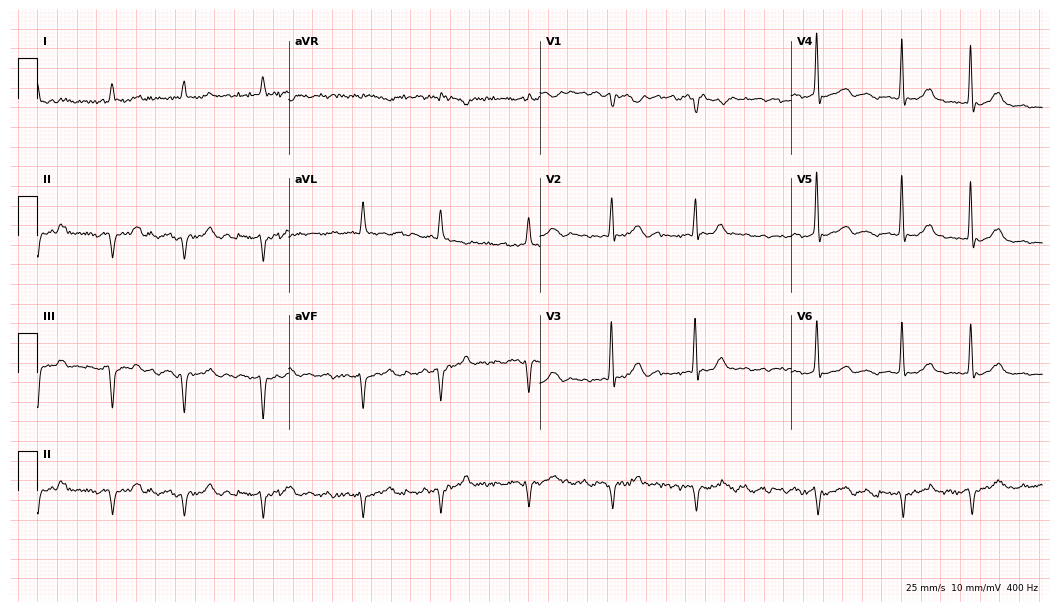
Electrocardiogram, a man, 80 years old. Interpretation includes atrial fibrillation (AF).